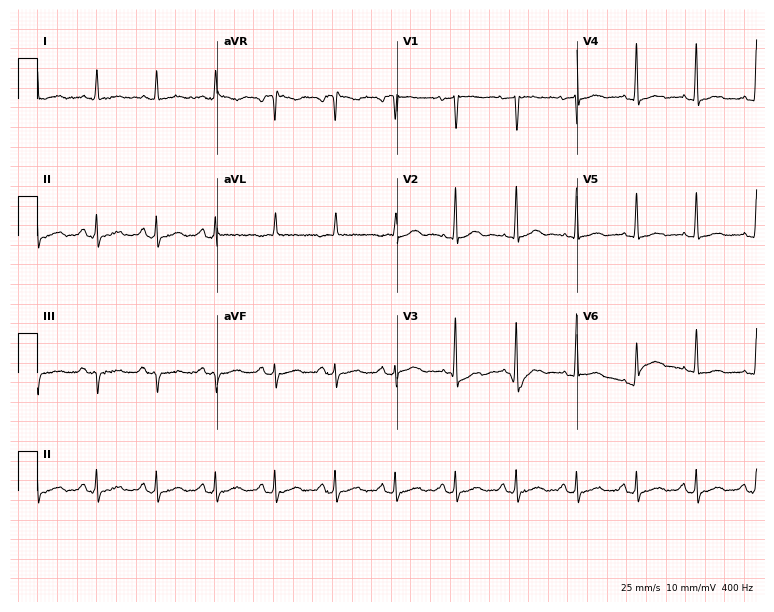
12-lead ECG from a 70-year-old female. No first-degree AV block, right bundle branch block (RBBB), left bundle branch block (LBBB), sinus bradycardia, atrial fibrillation (AF) or sinus tachycardia recorded for this tracing.